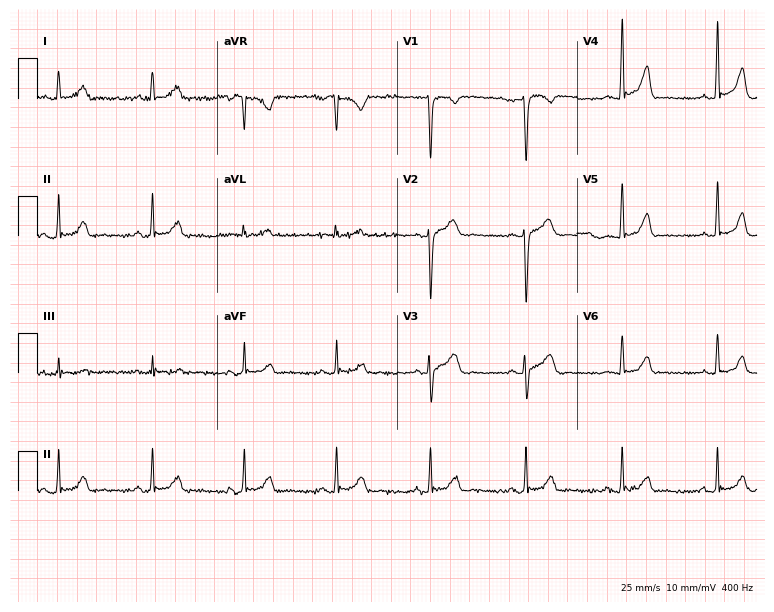
12-lead ECG from a woman, 33 years old. Labelled as a normal ECG.